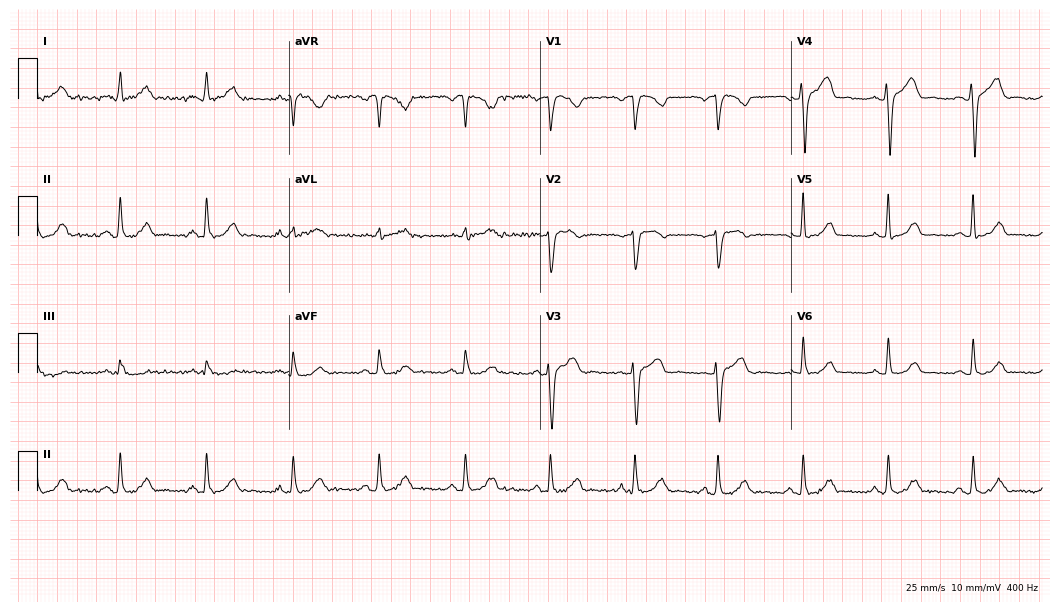
12-lead ECG from a 42-year-old female. Screened for six findings — first-degree AV block, right bundle branch block, left bundle branch block, sinus bradycardia, atrial fibrillation, sinus tachycardia — none is recorded.